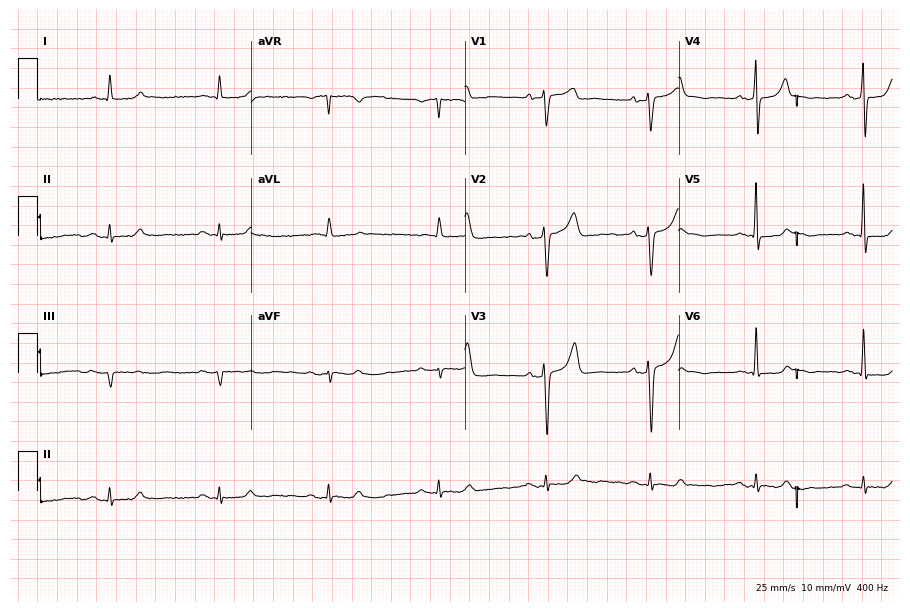
Resting 12-lead electrocardiogram (8.7-second recording at 400 Hz). Patient: a male, 70 years old. Read as a normal ECG.